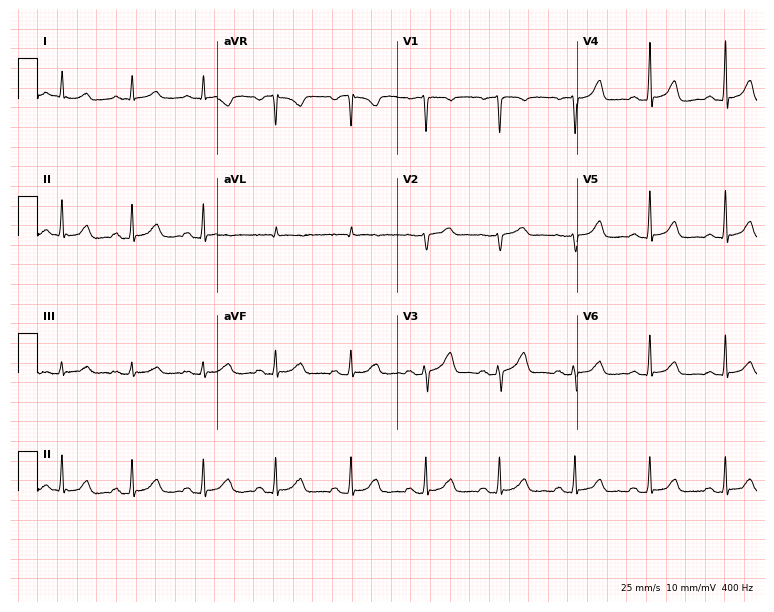
Resting 12-lead electrocardiogram (7.3-second recording at 400 Hz). Patient: a 46-year-old female. Read as a normal ECG.